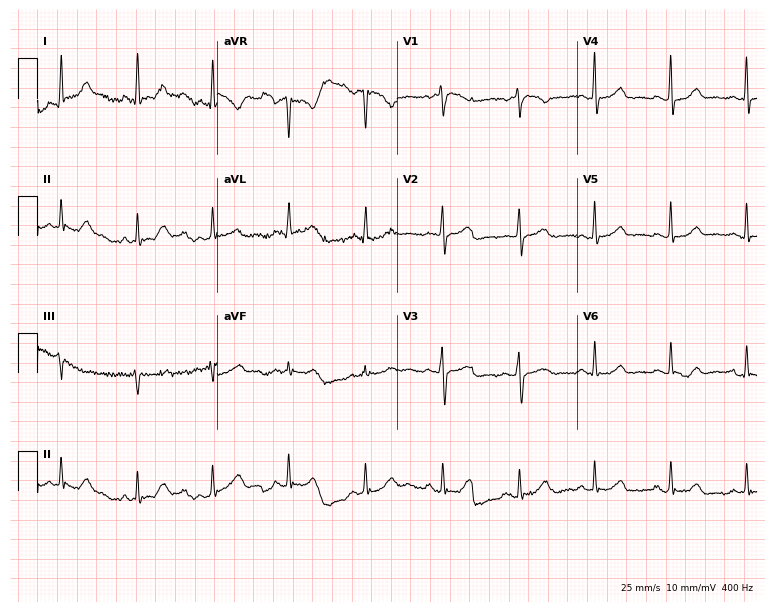
Standard 12-lead ECG recorded from a 55-year-old female. Read as a normal ECG.